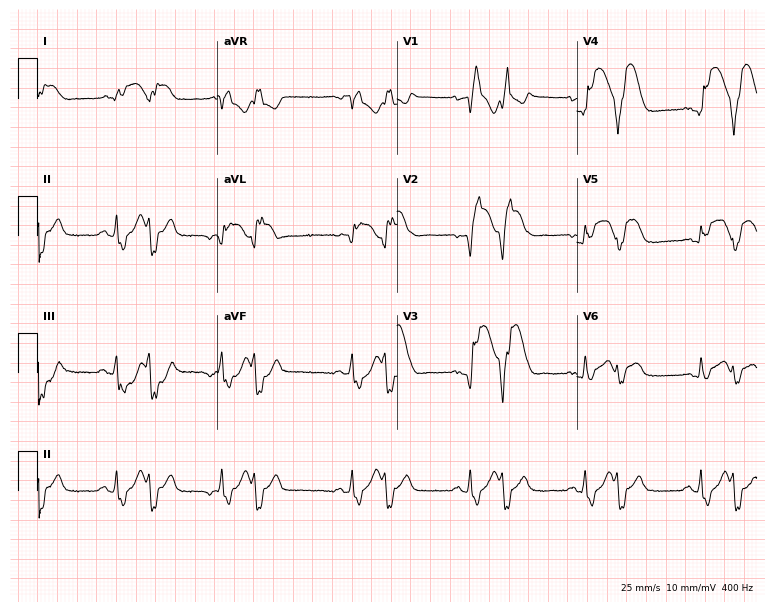
ECG (7.3-second recording at 400 Hz) — a male, 65 years old. Screened for six findings — first-degree AV block, right bundle branch block, left bundle branch block, sinus bradycardia, atrial fibrillation, sinus tachycardia — none is recorded.